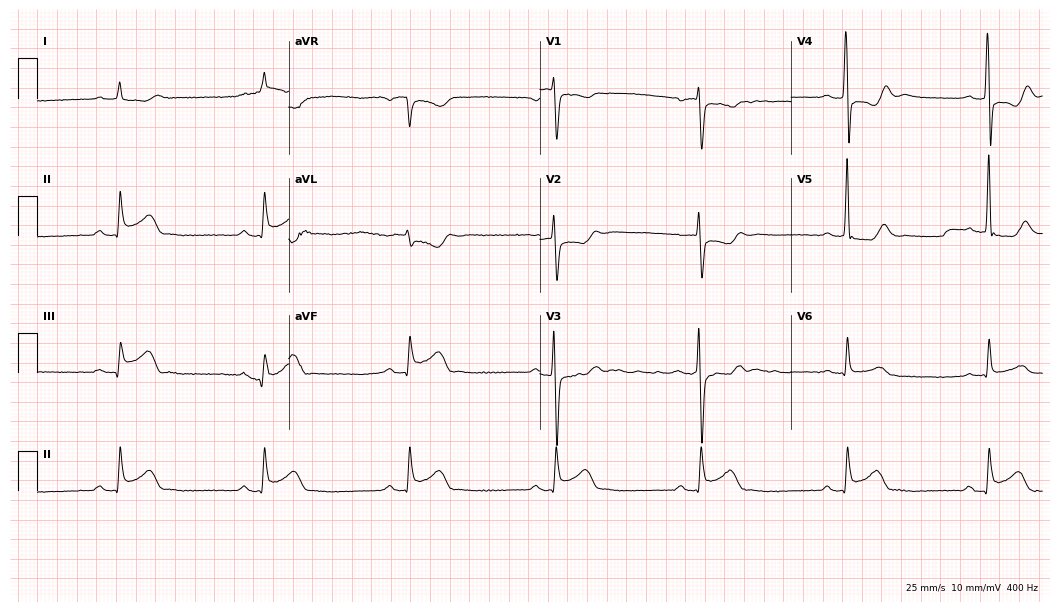
Electrocardiogram (10.2-second recording at 400 Hz), a male, 60 years old. Interpretation includes first-degree AV block, sinus bradycardia (a sinus rate of 50 beats per minute or less).